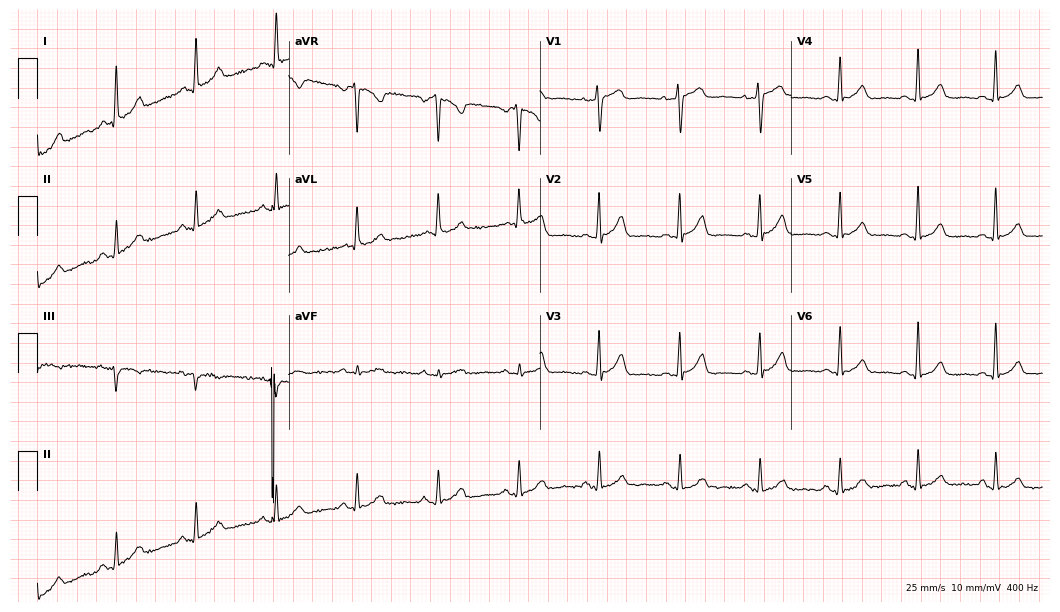
Standard 12-lead ECG recorded from a woman, 54 years old (10.2-second recording at 400 Hz). Read as a normal ECG.